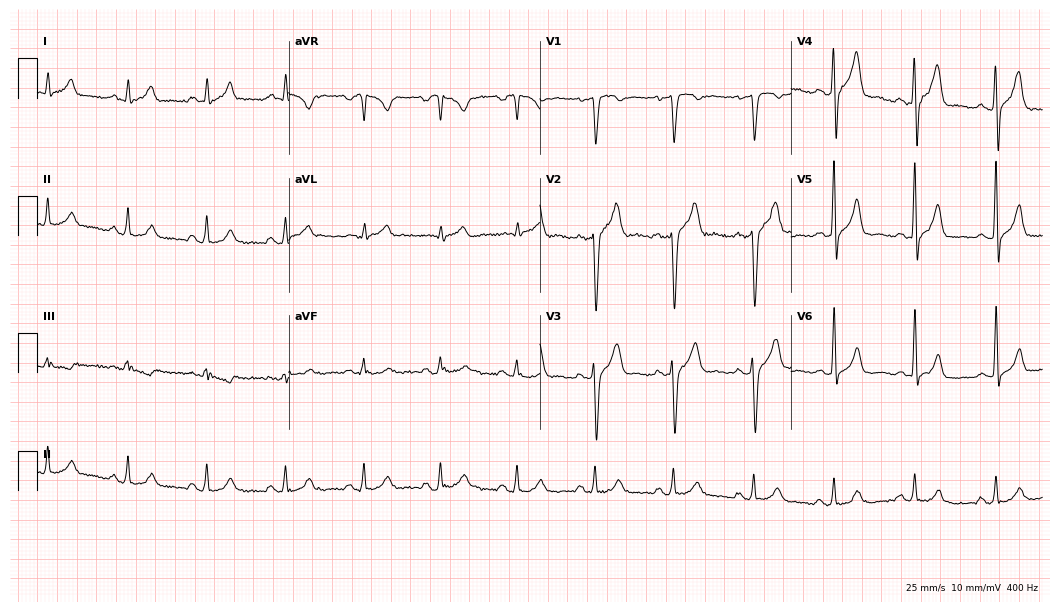
12-lead ECG (10.2-second recording at 400 Hz) from a 28-year-old male patient. Labelled as a normal ECG.